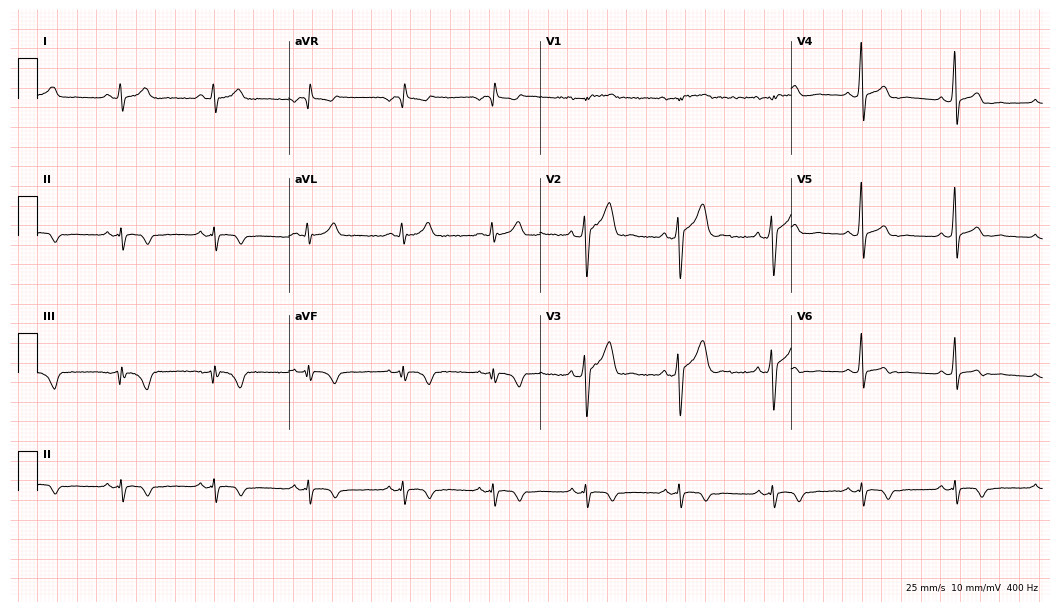
12-lead ECG from a man, 29 years old. Screened for six findings — first-degree AV block, right bundle branch block, left bundle branch block, sinus bradycardia, atrial fibrillation, sinus tachycardia — none is recorded. Only these six findings were labelled.